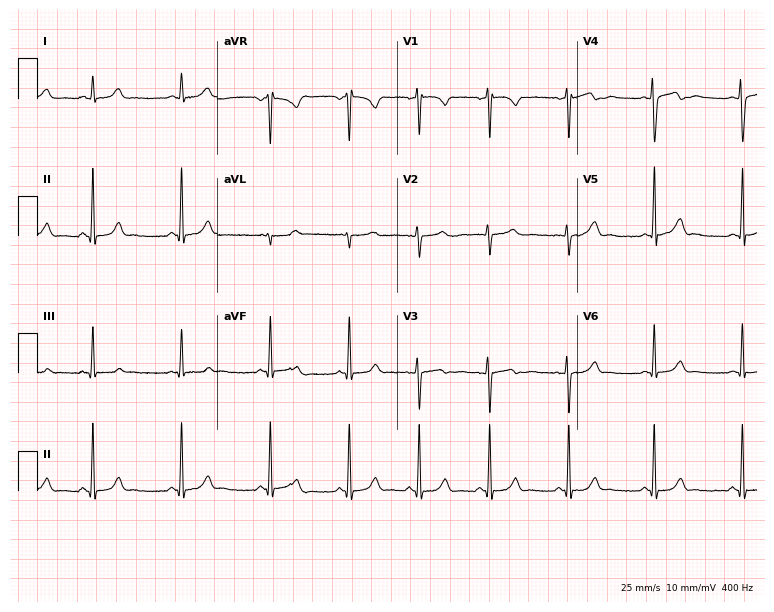
Electrocardiogram, a 19-year-old woman. Overall reading on record: normal ECG.